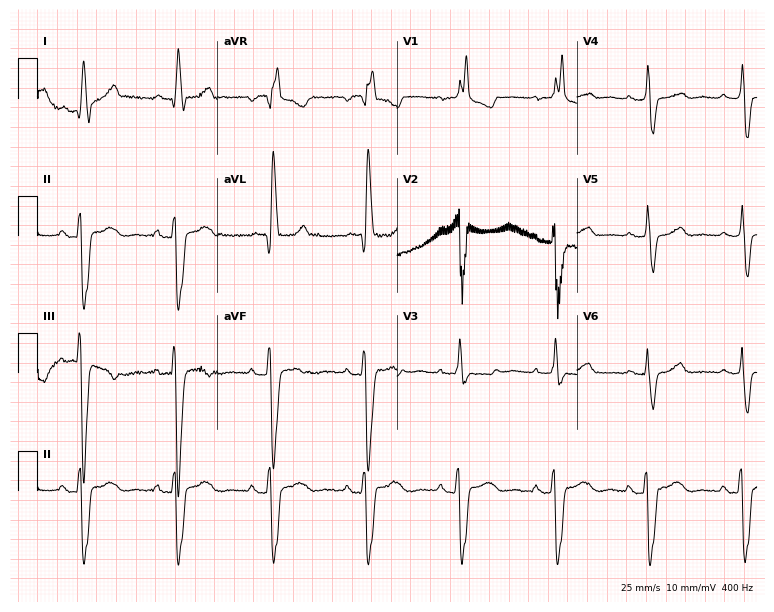
12-lead ECG from a female patient, 54 years old (7.3-second recording at 400 Hz). Shows right bundle branch block.